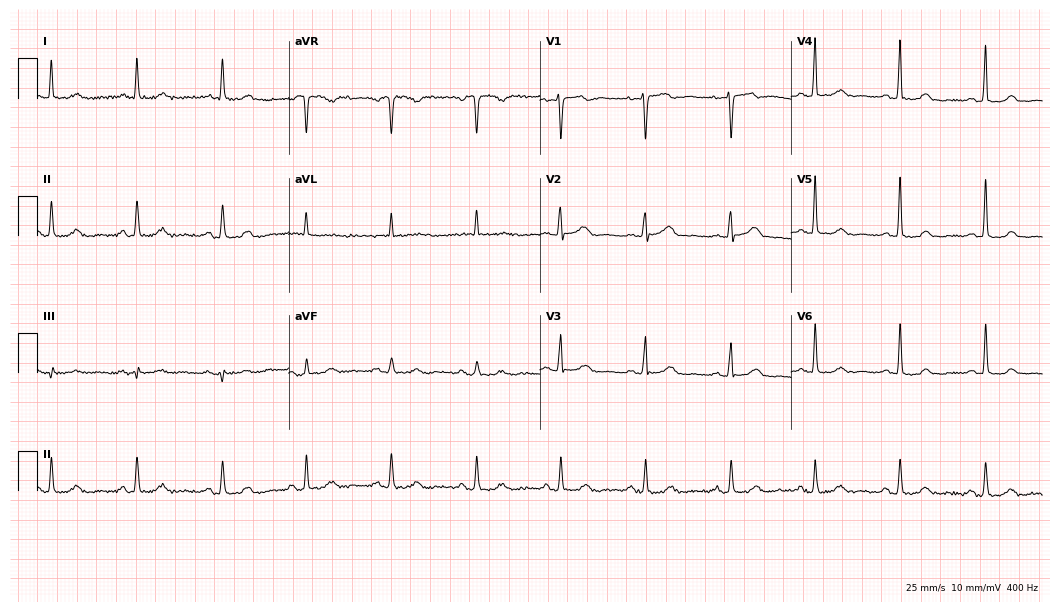
Standard 12-lead ECG recorded from a female, 82 years old. None of these six findings is recorded: first-degree AV block, right bundle branch block (RBBB), left bundle branch block (LBBB), sinus bradycardia, atrial fibrillation (AF), sinus tachycardia.